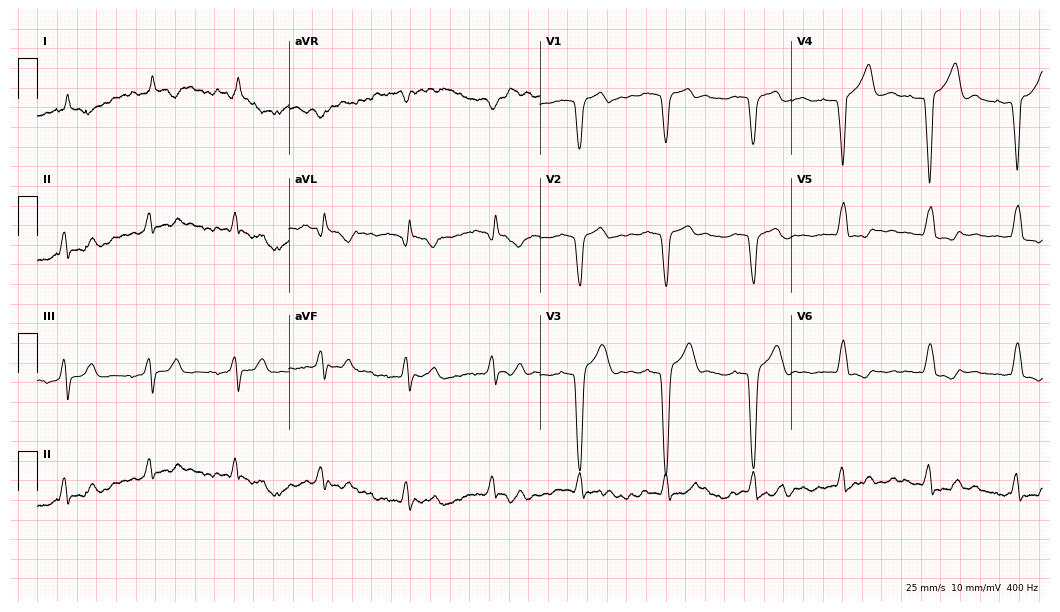
Electrocardiogram (10.2-second recording at 400 Hz), a 27-year-old man. Of the six screened findings (first-degree AV block, right bundle branch block, left bundle branch block, sinus bradycardia, atrial fibrillation, sinus tachycardia), none is recorded.